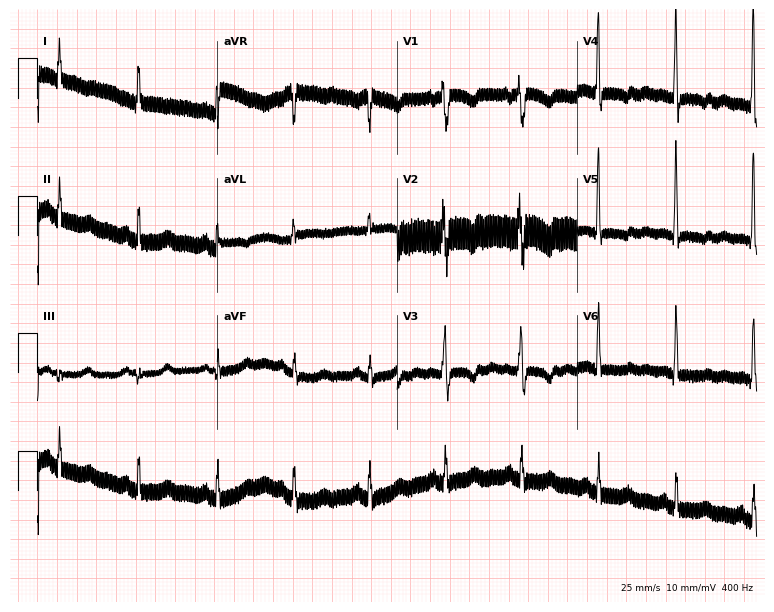
Standard 12-lead ECG recorded from a female, 45 years old (7.3-second recording at 400 Hz). None of these six findings is recorded: first-degree AV block, right bundle branch block (RBBB), left bundle branch block (LBBB), sinus bradycardia, atrial fibrillation (AF), sinus tachycardia.